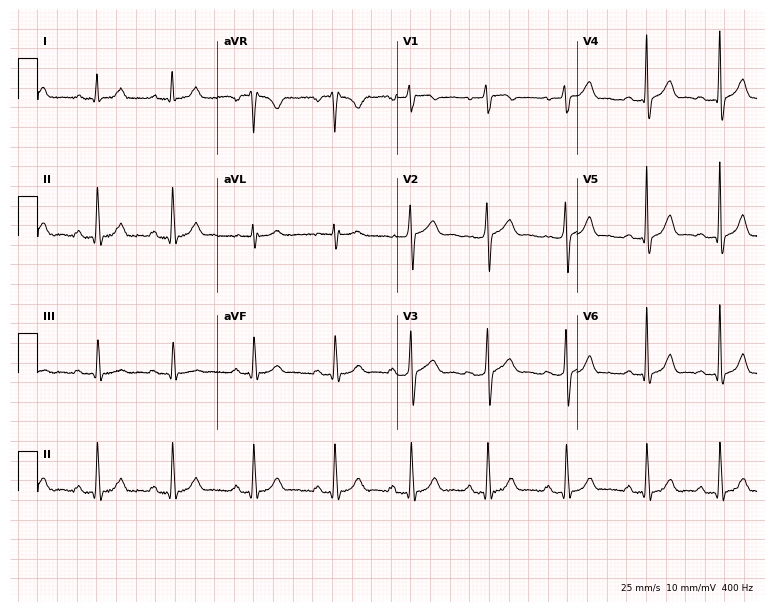
Electrocardiogram, a woman, 18 years old. Overall reading on record: normal ECG.